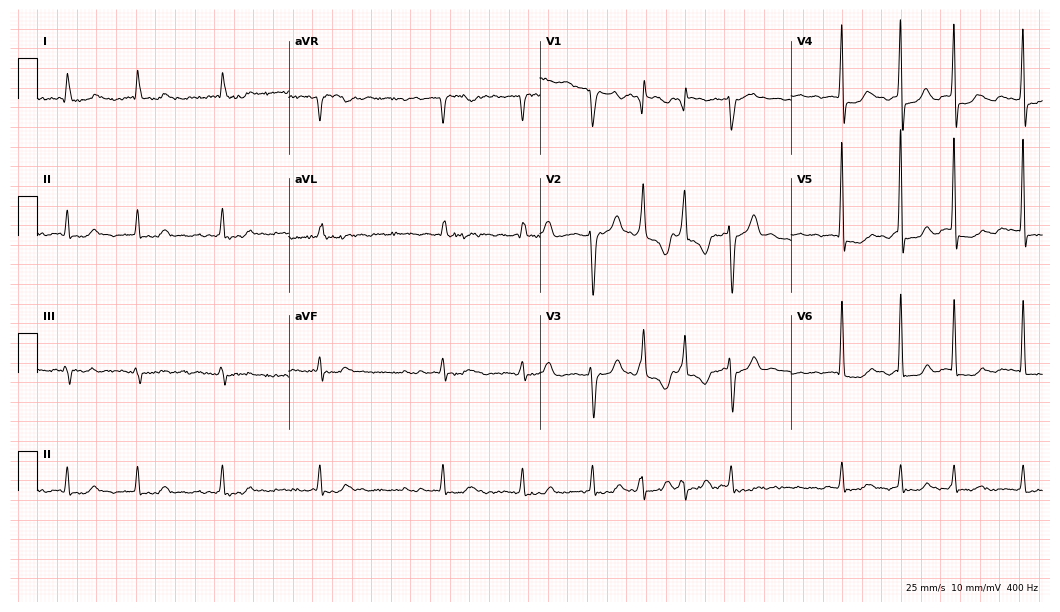
12-lead ECG from a woman, 86 years old. Shows atrial fibrillation.